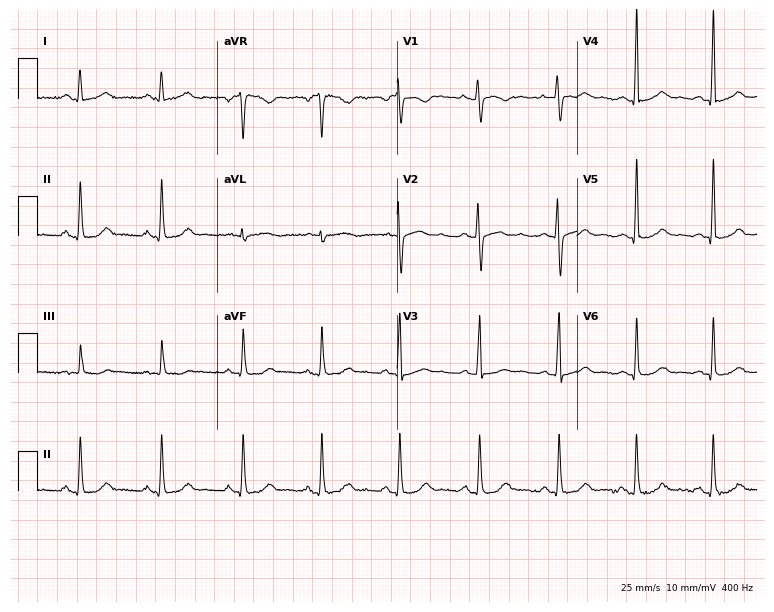
Electrocardiogram, a female patient, 35 years old. Overall reading on record: normal ECG.